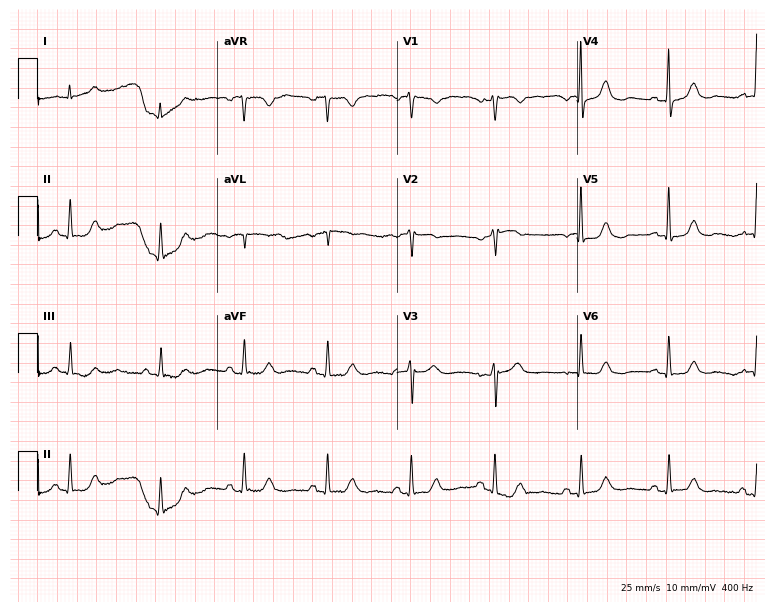
12-lead ECG from a 56-year-old woman (7.3-second recording at 400 Hz). No first-degree AV block, right bundle branch block, left bundle branch block, sinus bradycardia, atrial fibrillation or sinus tachycardia recorded for this tracing. Other findings, if any, are not listed.